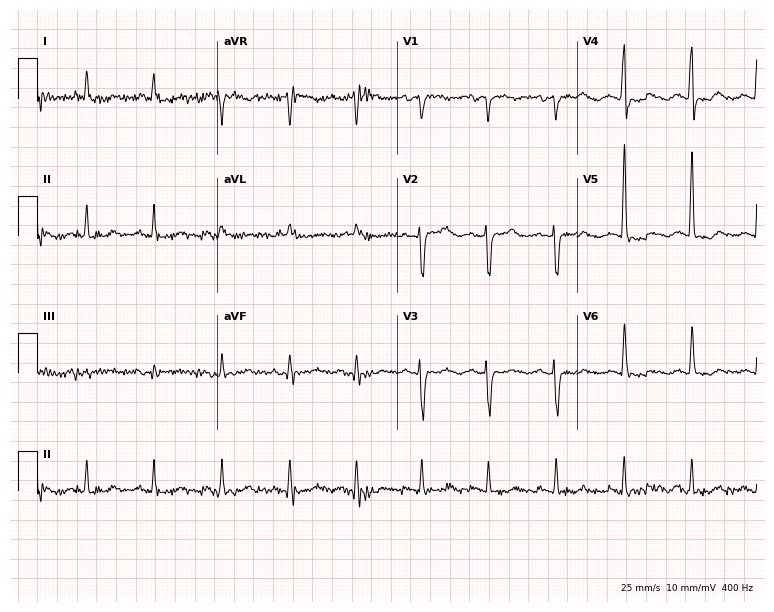
Electrocardiogram, a 77-year-old woman. Of the six screened findings (first-degree AV block, right bundle branch block (RBBB), left bundle branch block (LBBB), sinus bradycardia, atrial fibrillation (AF), sinus tachycardia), none is recorded.